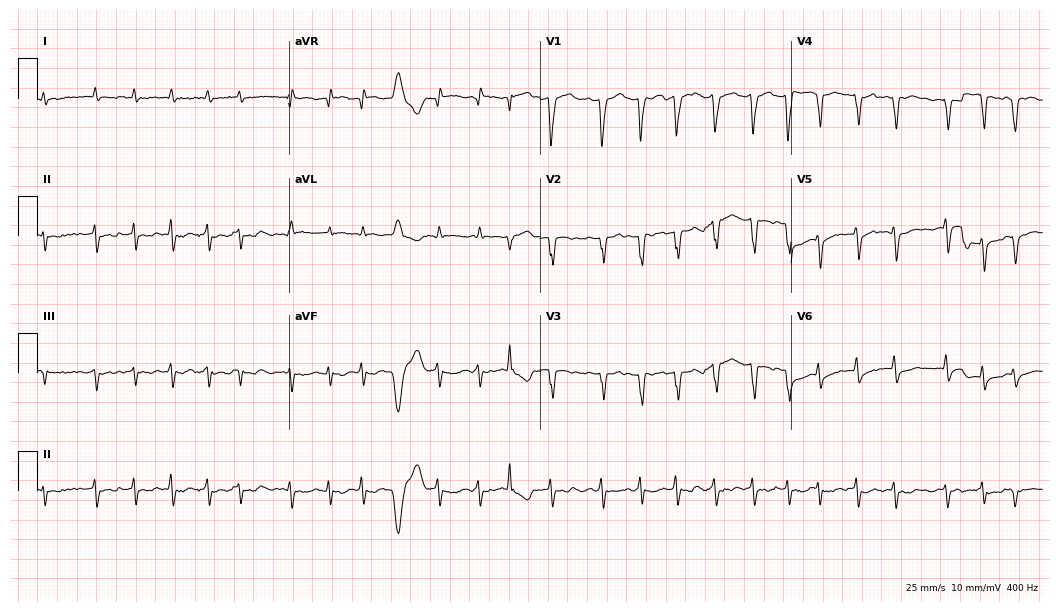
Standard 12-lead ECG recorded from an 84-year-old male (10.2-second recording at 400 Hz). The tracing shows atrial fibrillation (AF).